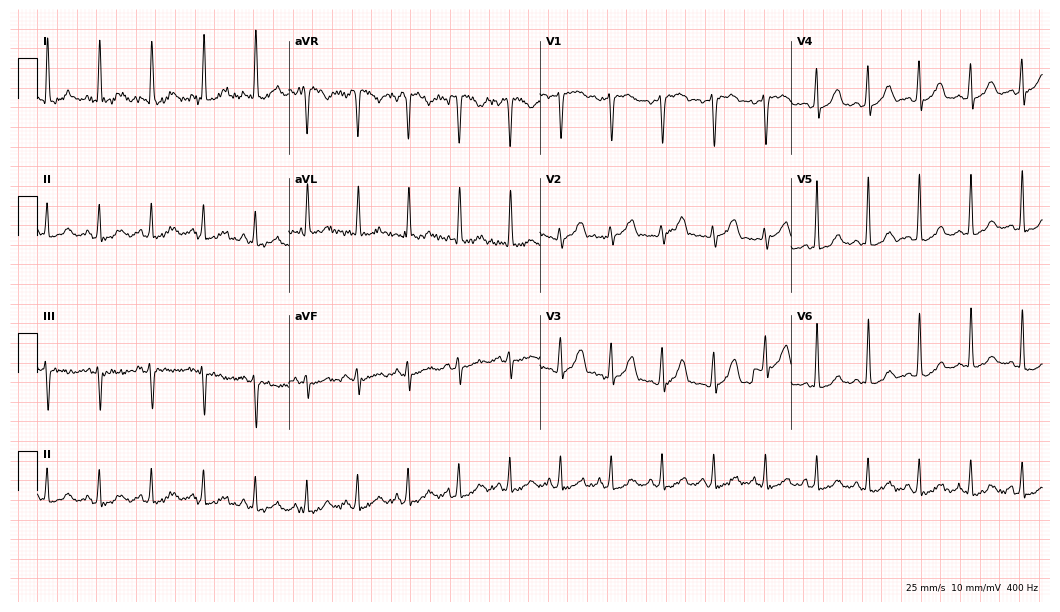
12-lead ECG from a female, 49 years old. Shows sinus tachycardia (a sinus rate of 100 beats per minute or more).